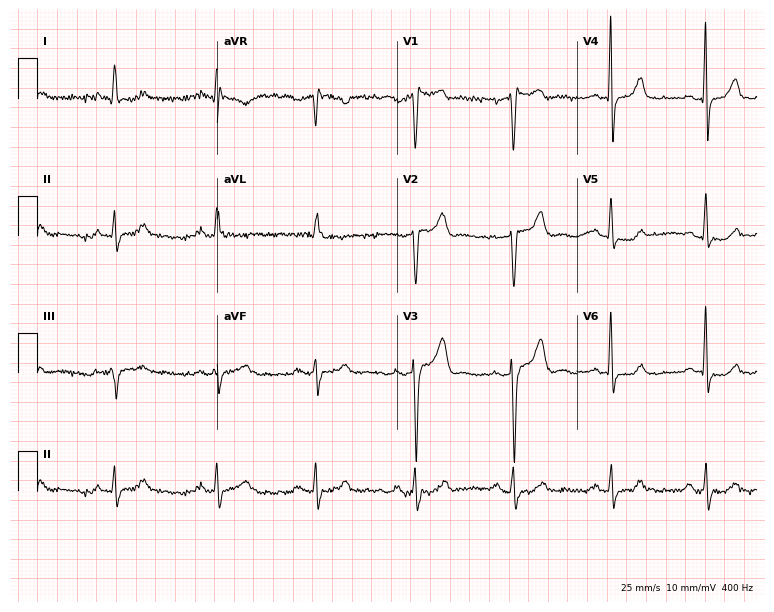
Electrocardiogram, a 67-year-old male patient. Of the six screened findings (first-degree AV block, right bundle branch block, left bundle branch block, sinus bradycardia, atrial fibrillation, sinus tachycardia), none is recorded. Only these six findings were labelled.